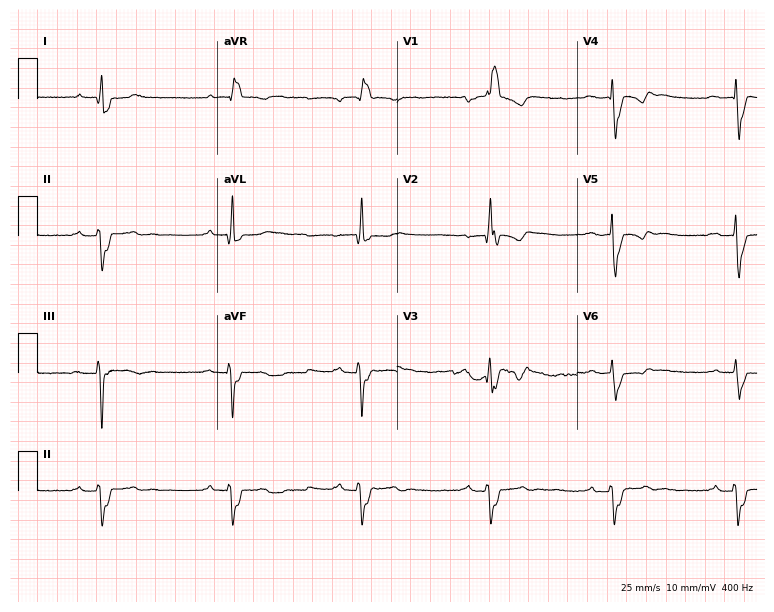
Standard 12-lead ECG recorded from a male patient, 42 years old. The tracing shows right bundle branch block (RBBB), left bundle branch block (LBBB), sinus bradycardia (a sinus rate of 50 beats per minute or less).